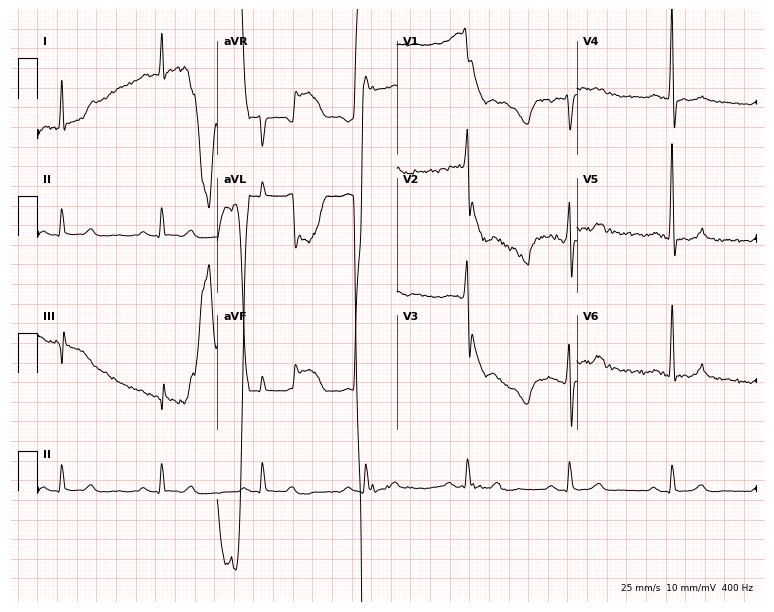
Standard 12-lead ECG recorded from a man, 71 years old (7.3-second recording at 400 Hz). None of these six findings is recorded: first-degree AV block, right bundle branch block, left bundle branch block, sinus bradycardia, atrial fibrillation, sinus tachycardia. Other findings, if any, are not listed.